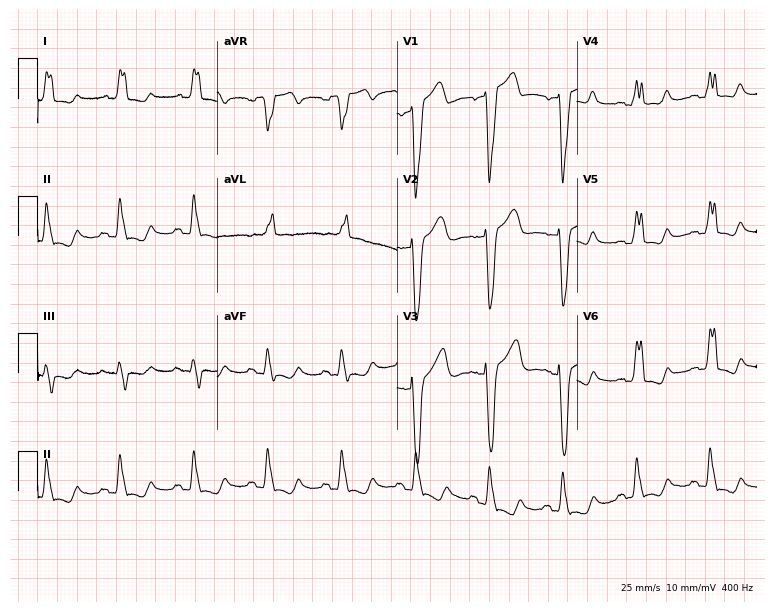
12-lead ECG from a 69-year-old female patient (7.3-second recording at 400 Hz). Shows left bundle branch block (LBBB).